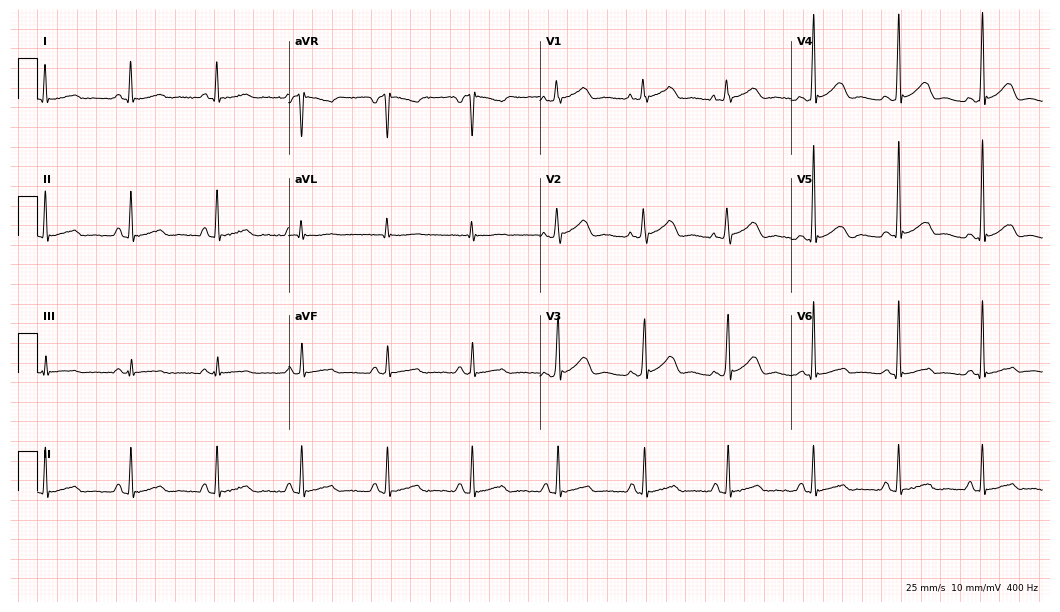
Electrocardiogram, a female patient, 44 years old. Overall reading on record: normal ECG.